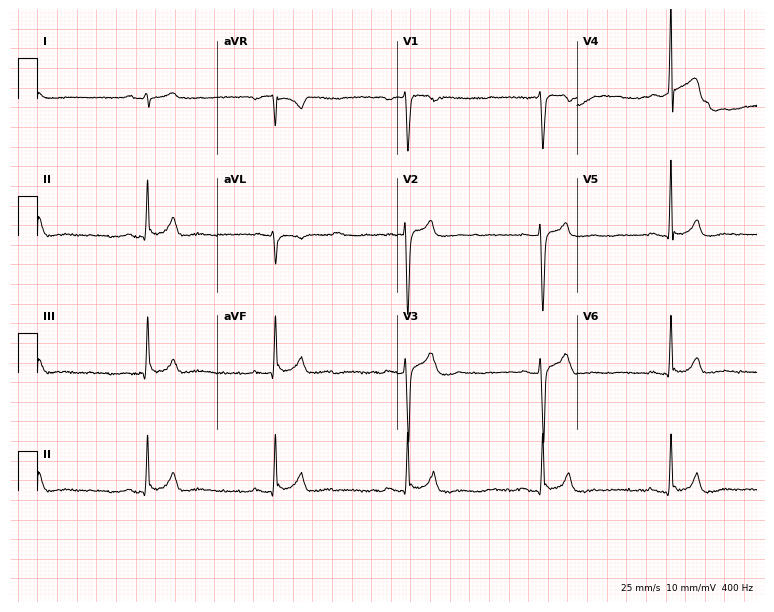
12-lead ECG from a 31-year-old male. Shows sinus bradycardia (a sinus rate of 50 beats per minute or less).